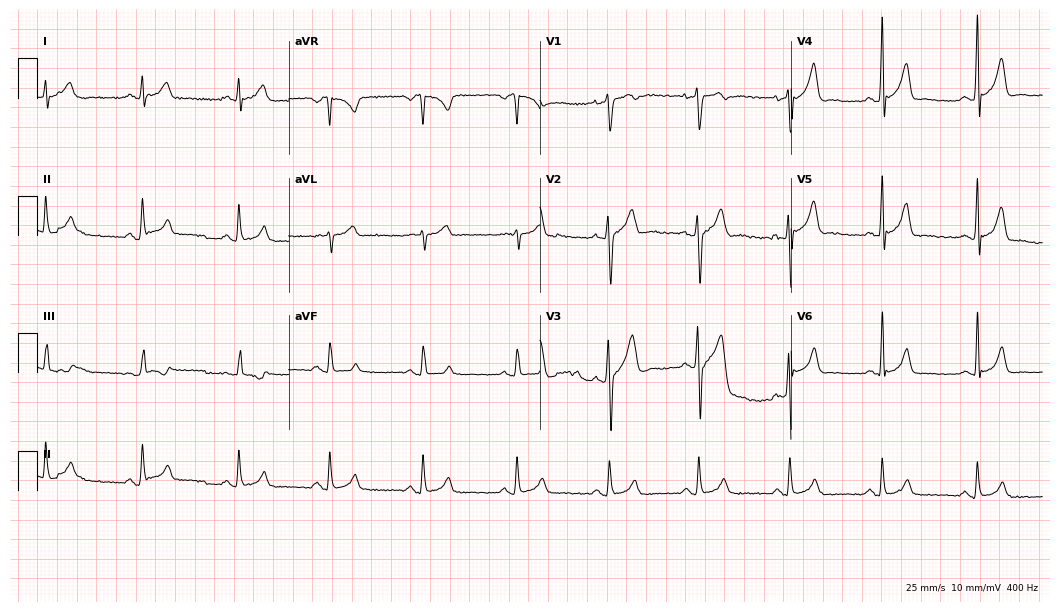
12-lead ECG (10.2-second recording at 400 Hz) from a 41-year-old man. Screened for six findings — first-degree AV block, right bundle branch block, left bundle branch block, sinus bradycardia, atrial fibrillation, sinus tachycardia — none is recorded.